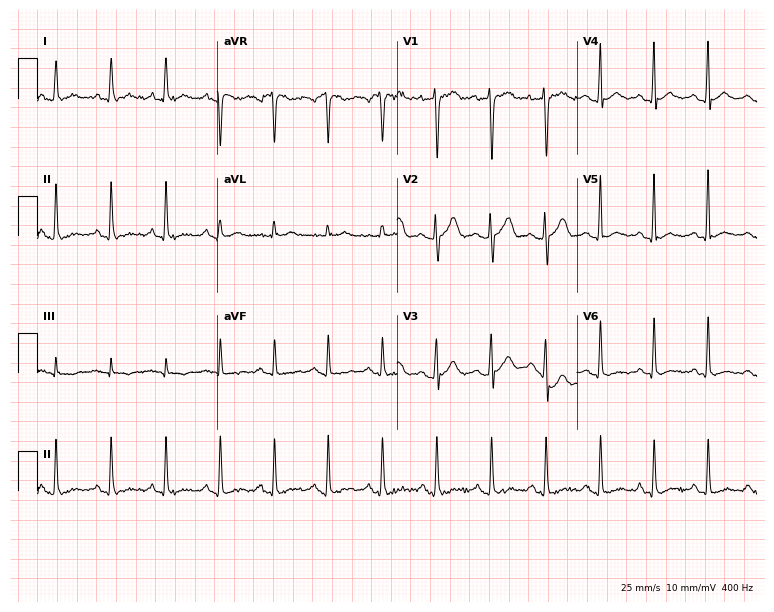
Electrocardiogram (7.3-second recording at 400 Hz), a 22-year-old man. Interpretation includes sinus tachycardia (a sinus rate of 100 beats per minute or more).